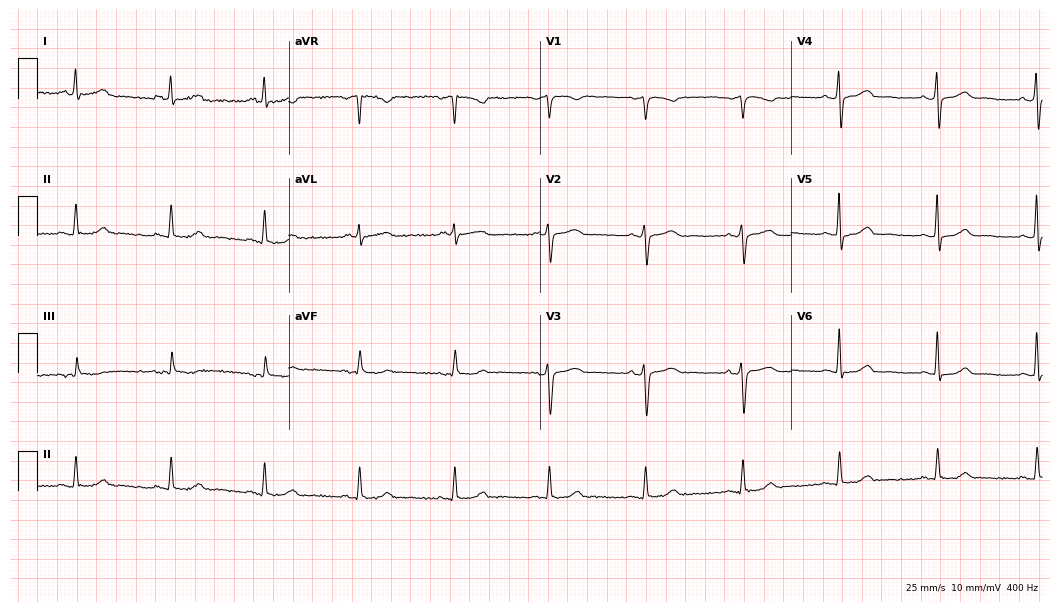
12-lead ECG from a female, 59 years old. Recorded interpretation: within normal limits.